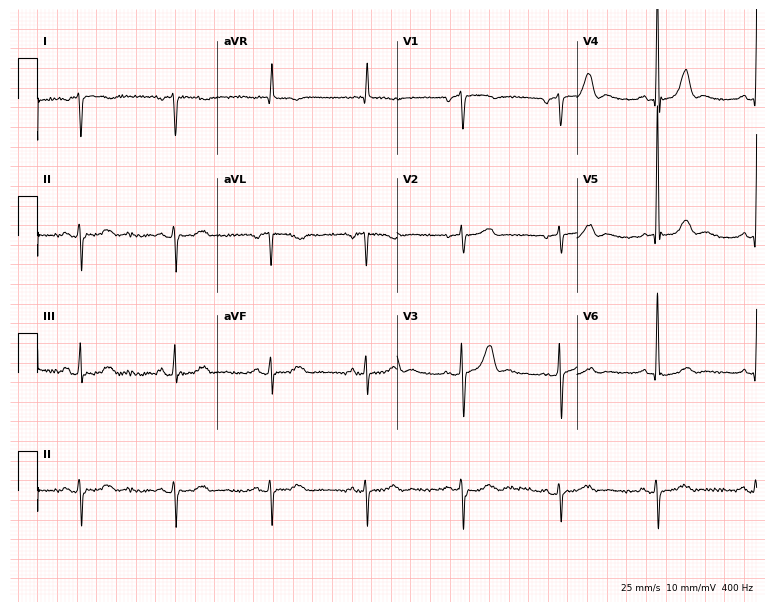
Electrocardiogram, an 80-year-old woman. Of the six screened findings (first-degree AV block, right bundle branch block, left bundle branch block, sinus bradycardia, atrial fibrillation, sinus tachycardia), none is recorded.